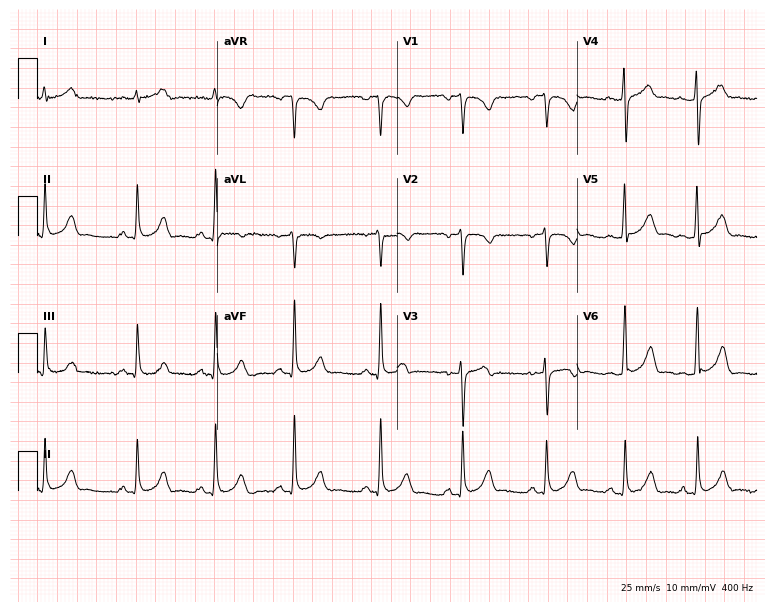
12-lead ECG from a 37-year-old male. Labelled as a normal ECG.